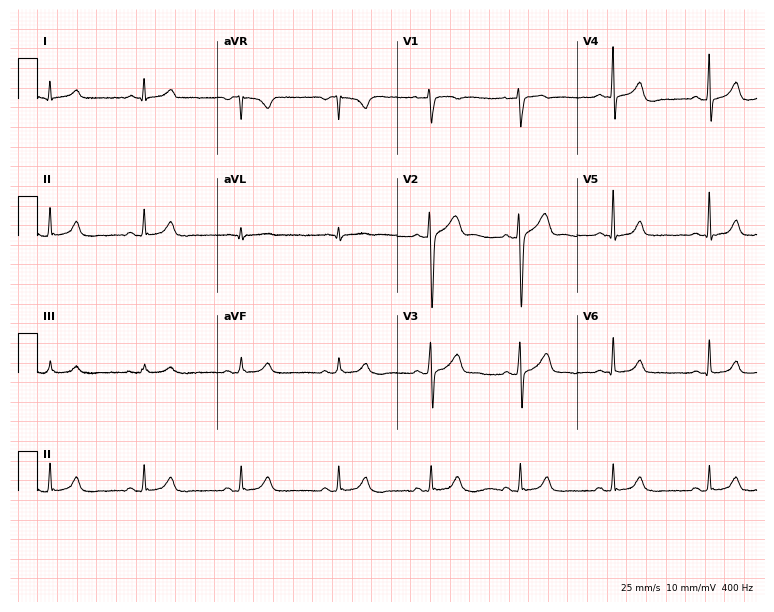
Resting 12-lead electrocardiogram. Patient: a 52-year-old male. Read as a normal ECG.